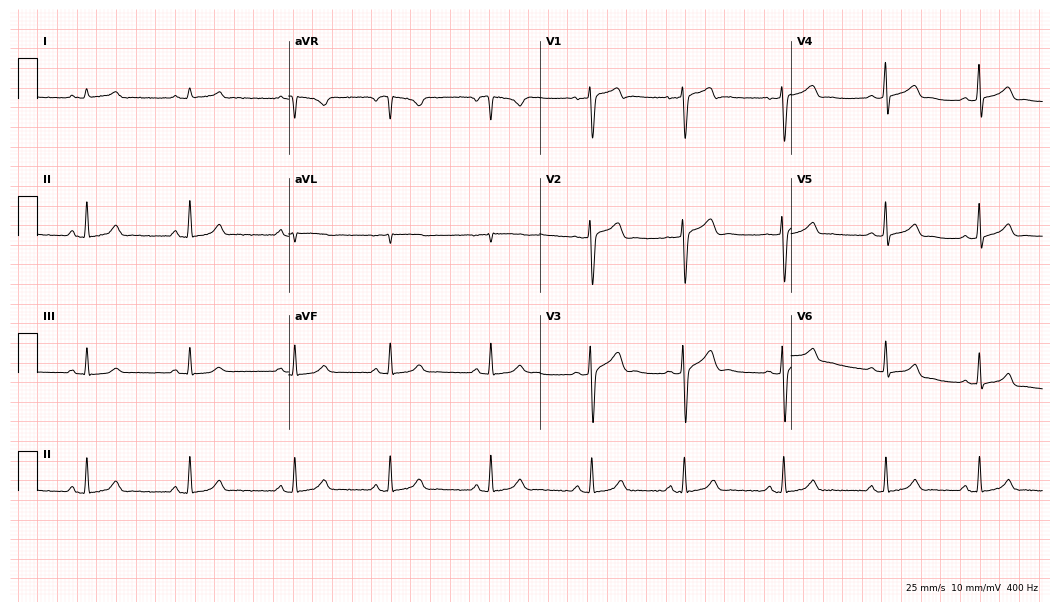
12-lead ECG from a woman, 34 years old (10.2-second recording at 400 Hz). Recorded interpretation: within normal limits.